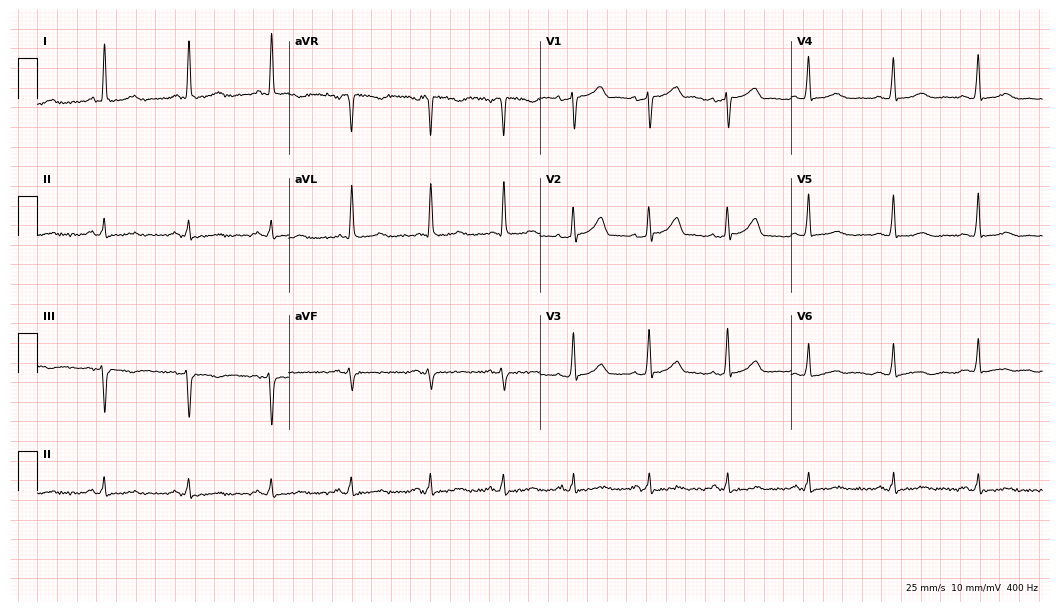
ECG — a 53-year-old female patient. Labelled as a normal ECG.